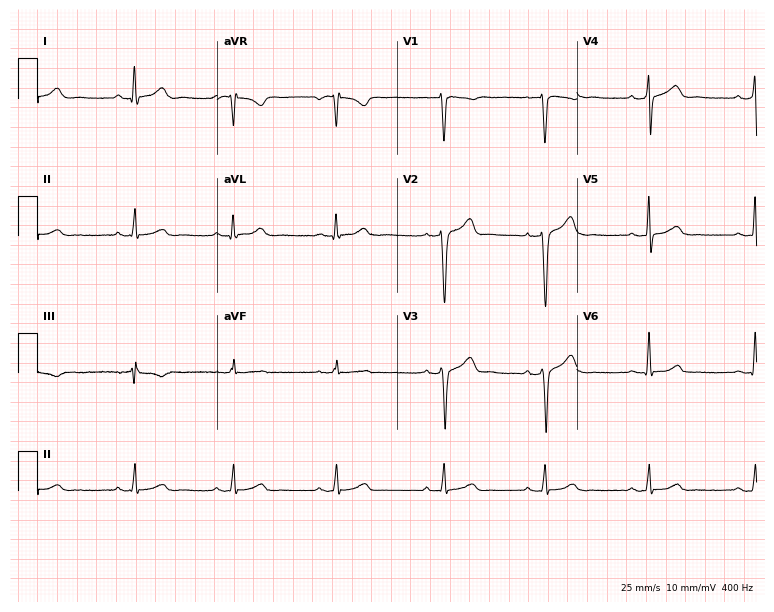
12-lead ECG from a 29-year-old man. No first-degree AV block, right bundle branch block, left bundle branch block, sinus bradycardia, atrial fibrillation or sinus tachycardia recorded for this tracing. Only these six findings were labelled.